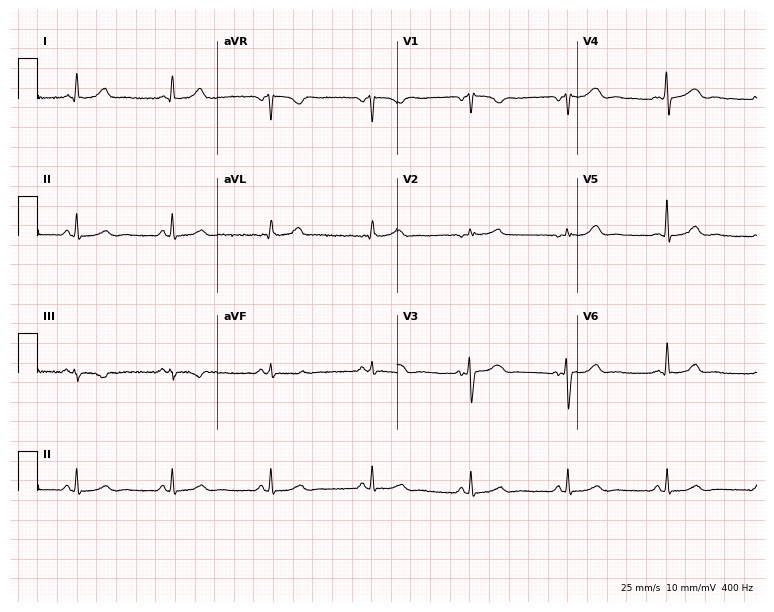
ECG — a female patient, 44 years old. Labelled as a normal ECG.